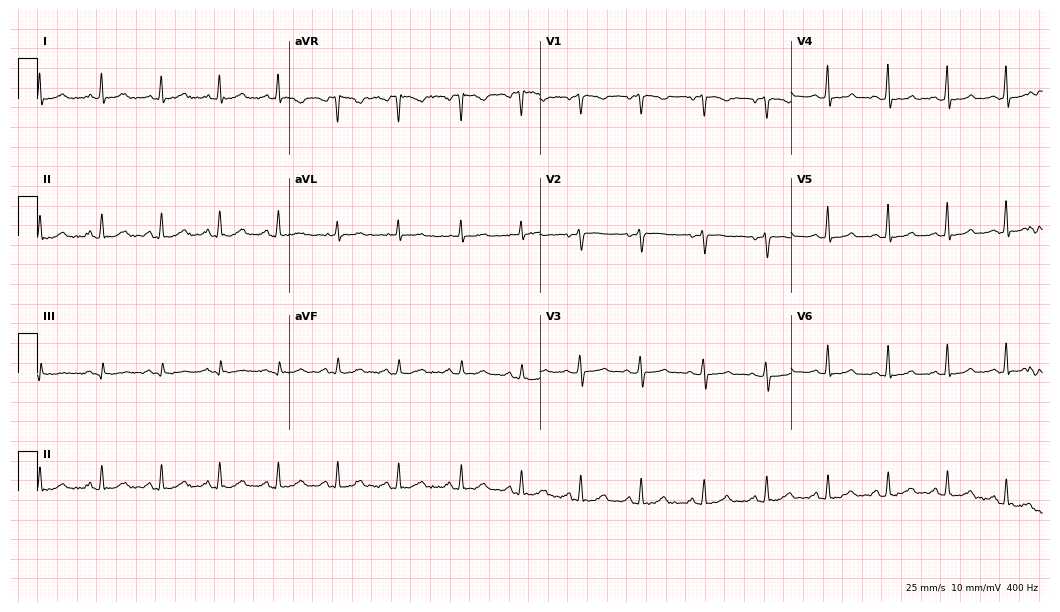
Resting 12-lead electrocardiogram. Patient: a female, 37 years old. None of these six findings is recorded: first-degree AV block, right bundle branch block, left bundle branch block, sinus bradycardia, atrial fibrillation, sinus tachycardia. Findings outside these six are not listed.